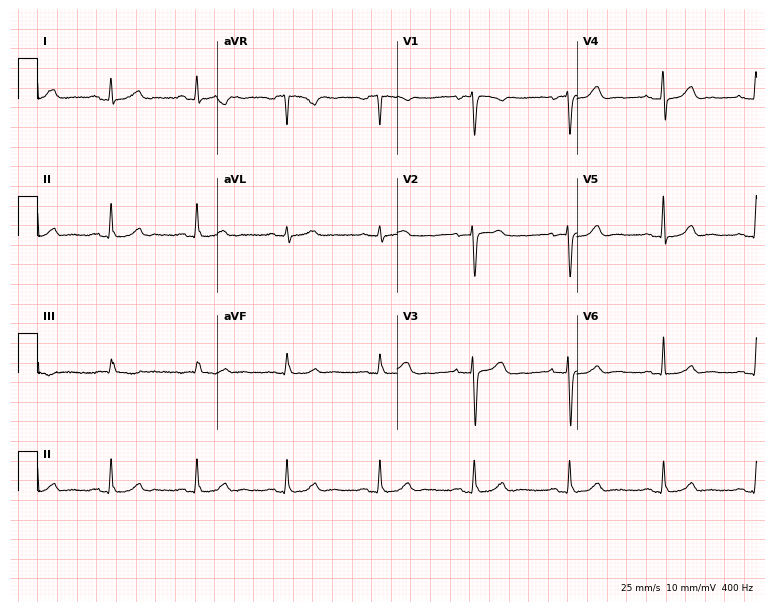
12-lead ECG (7.3-second recording at 400 Hz) from a female, 45 years old. Labelled as a normal ECG.